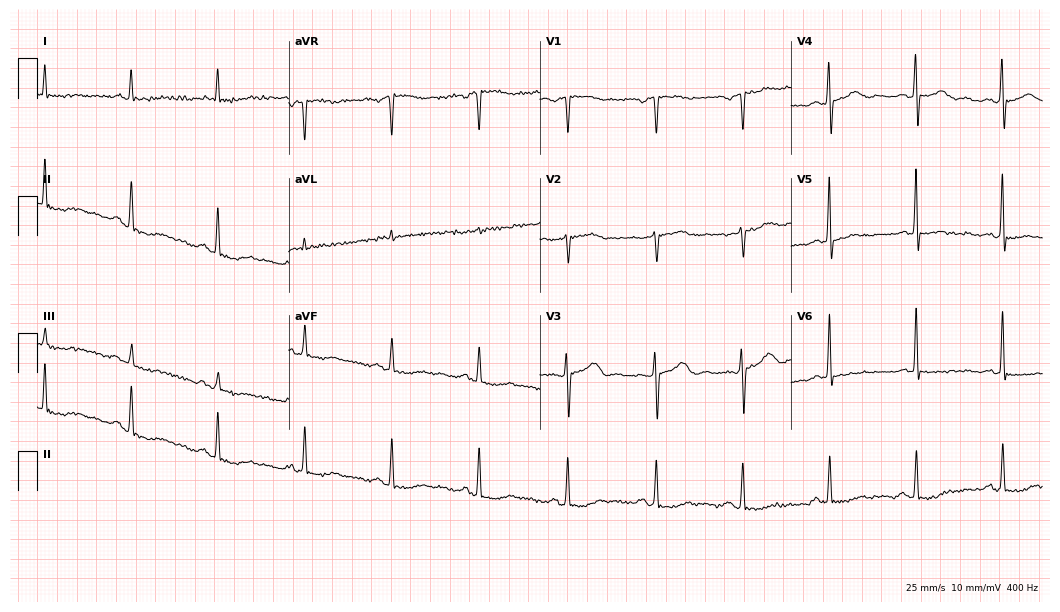
Resting 12-lead electrocardiogram. Patient: a male, 64 years old. Read as a normal ECG.